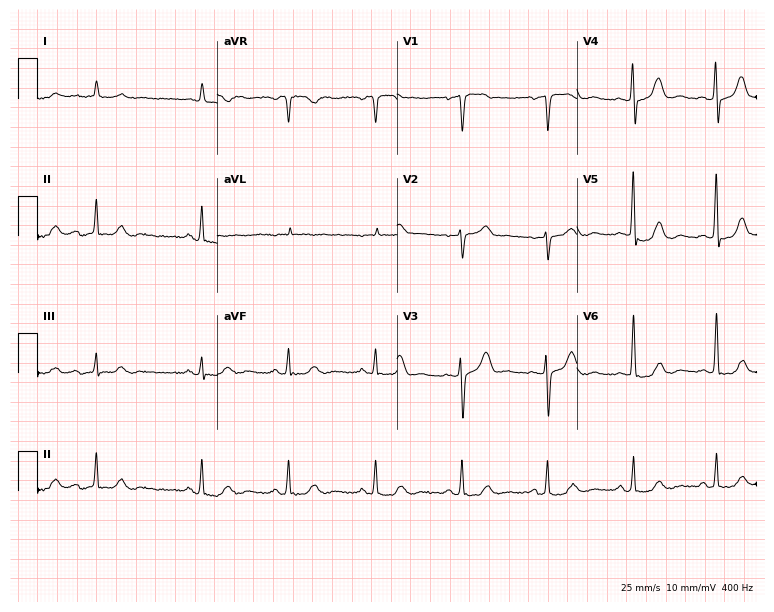
12-lead ECG from a male patient, 84 years old. No first-degree AV block, right bundle branch block, left bundle branch block, sinus bradycardia, atrial fibrillation or sinus tachycardia recorded for this tracing. Other findings, if any, are not listed.